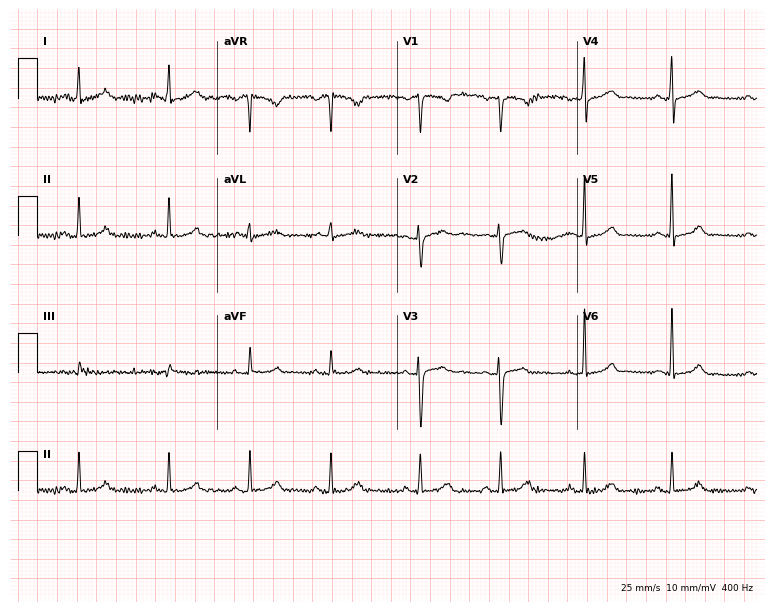
Resting 12-lead electrocardiogram (7.3-second recording at 400 Hz). Patient: a woman, 30 years old. Read as a normal ECG.